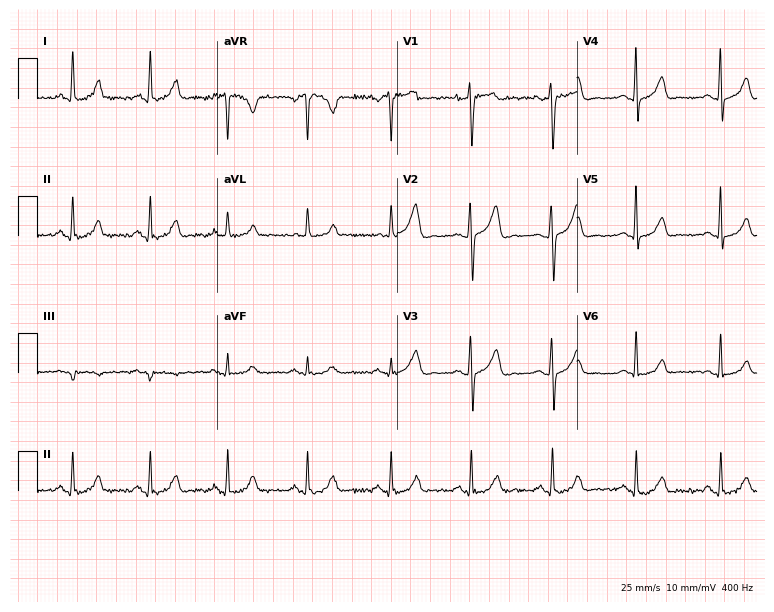
Resting 12-lead electrocardiogram. Patient: a female, 42 years old. Read as a normal ECG.